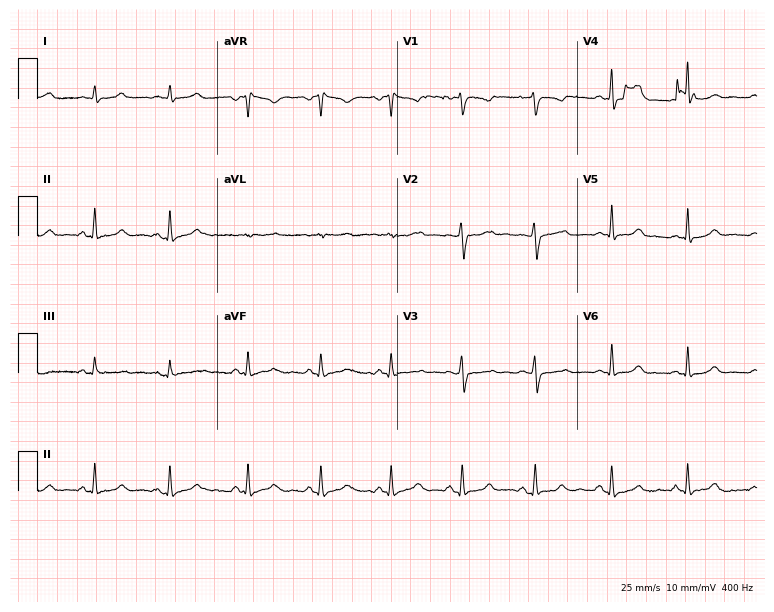
Standard 12-lead ECG recorded from a woman, 32 years old. None of these six findings is recorded: first-degree AV block, right bundle branch block (RBBB), left bundle branch block (LBBB), sinus bradycardia, atrial fibrillation (AF), sinus tachycardia.